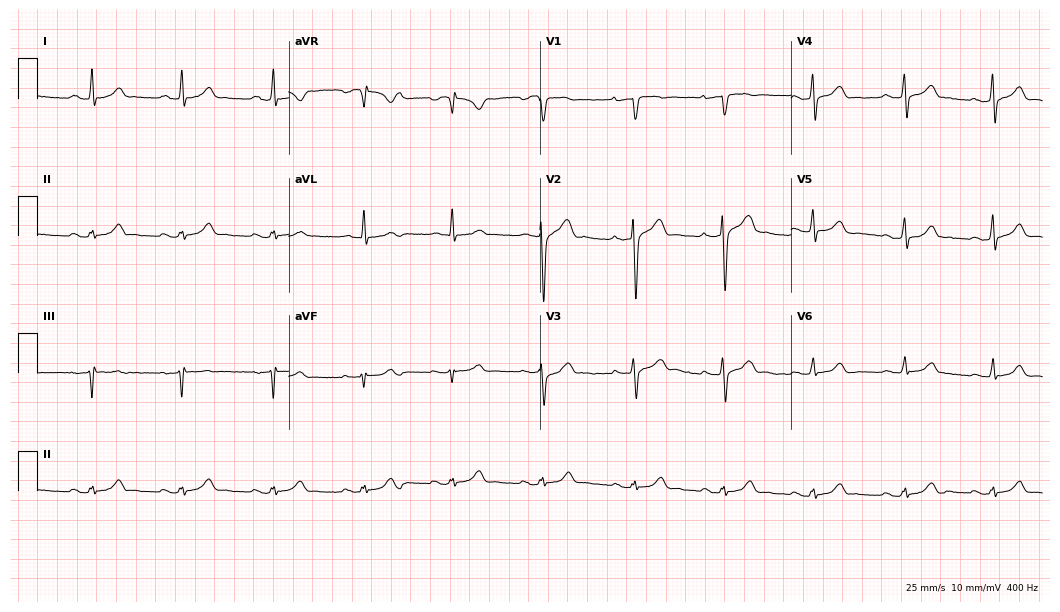
12-lead ECG (10.2-second recording at 400 Hz) from a 48-year-old male patient. Labelled as a normal ECG.